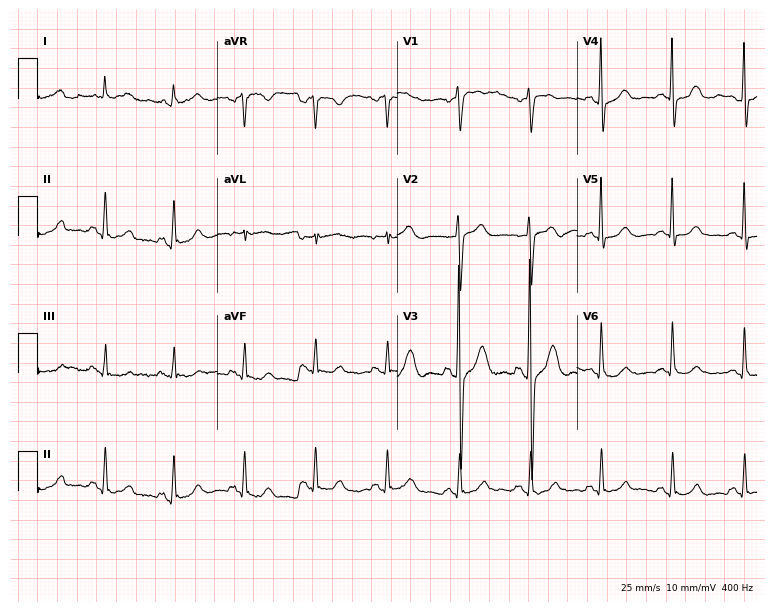
Electrocardiogram, a woman, 65 years old. Of the six screened findings (first-degree AV block, right bundle branch block (RBBB), left bundle branch block (LBBB), sinus bradycardia, atrial fibrillation (AF), sinus tachycardia), none is recorded. Findings outside these six are not listed.